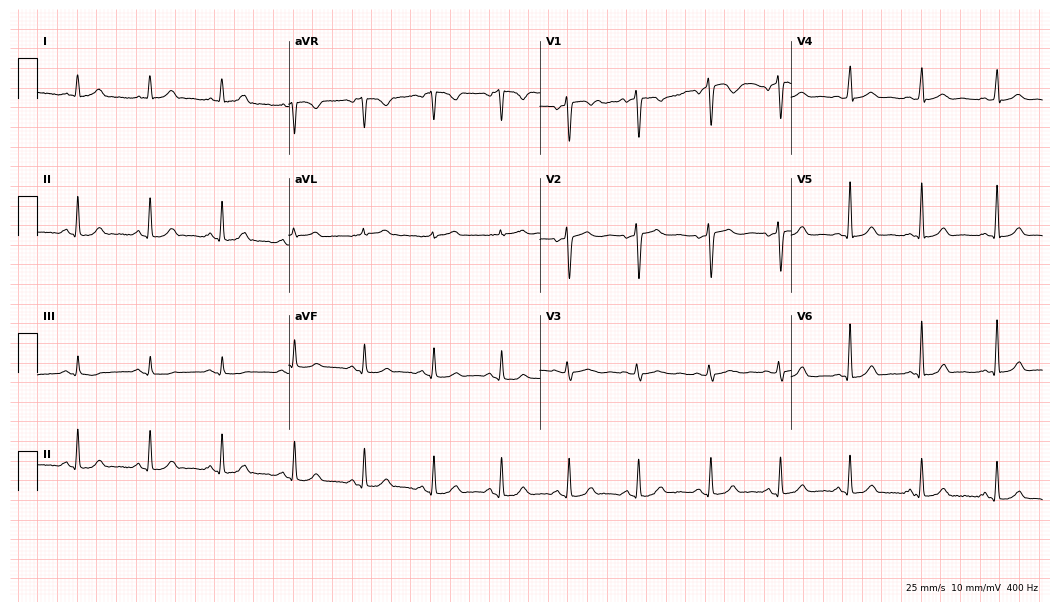
Resting 12-lead electrocardiogram (10.2-second recording at 400 Hz). Patient: a woman, 44 years old. Read as a normal ECG.